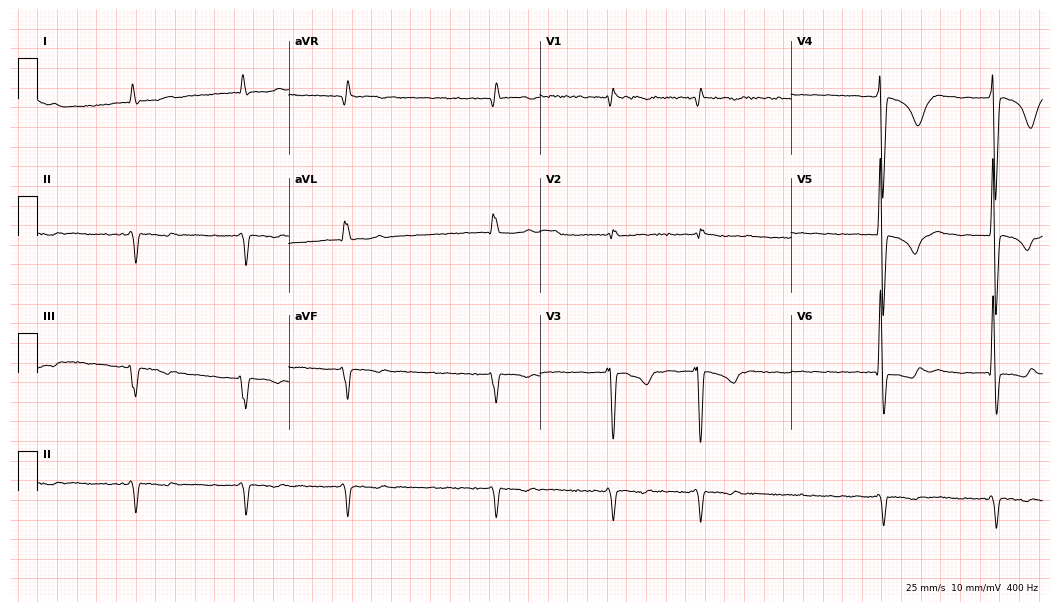
Electrocardiogram (10.2-second recording at 400 Hz), a man, 61 years old. Interpretation includes atrial fibrillation.